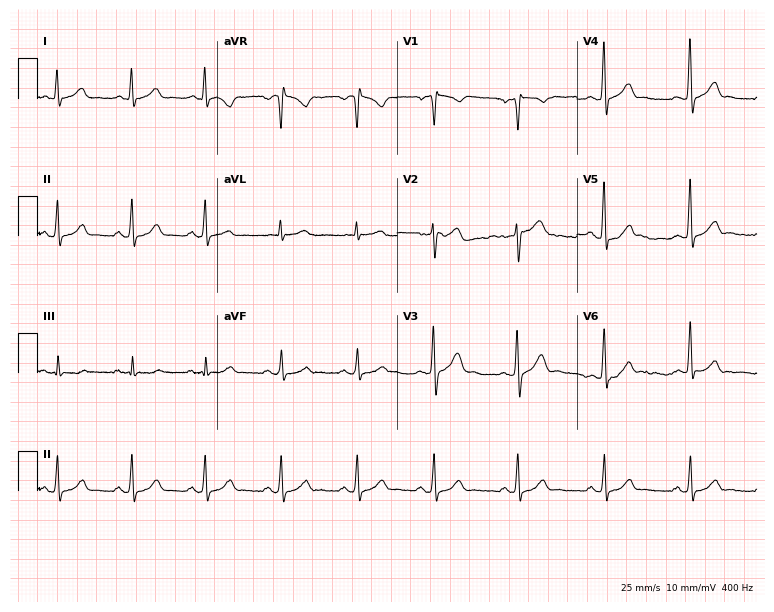
12-lead ECG from a 34-year-old male patient. Screened for six findings — first-degree AV block, right bundle branch block, left bundle branch block, sinus bradycardia, atrial fibrillation, sinus tachycardia — none is recorded. Other findings, if any, are not listed.